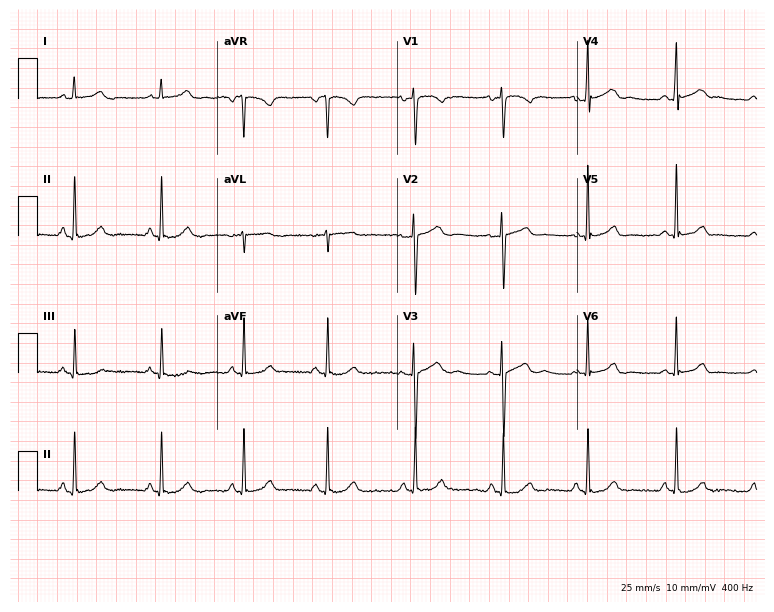
Standard 12-lead ECG recorded from a female, 25 years old. Read as a normal ECG.